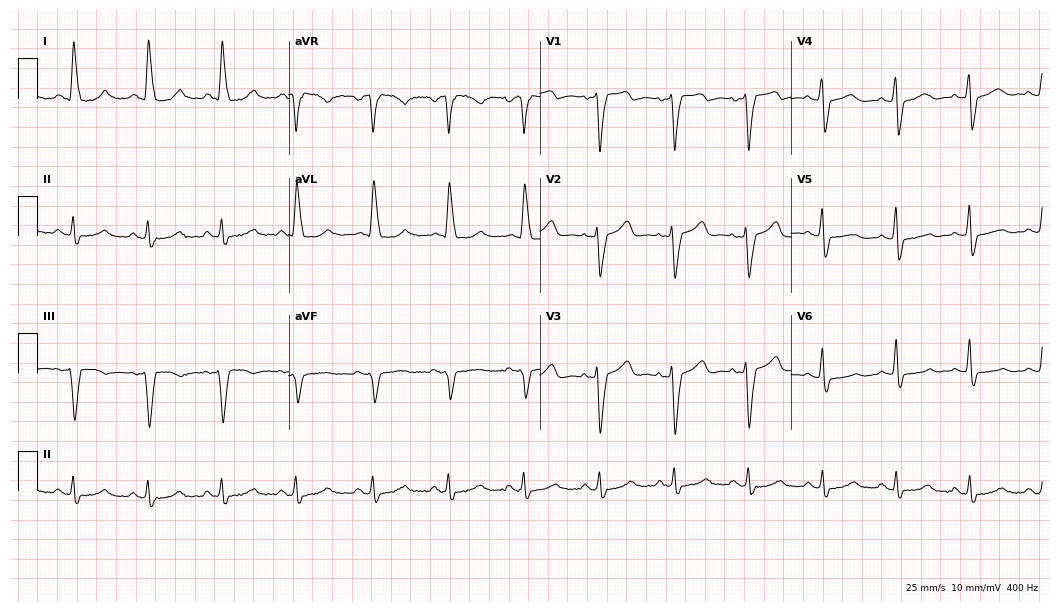
12-lead ECG from a 66-year-old female patient (10.2-second recording at 400 Hz). Shows left bundle branch block (LBBB).